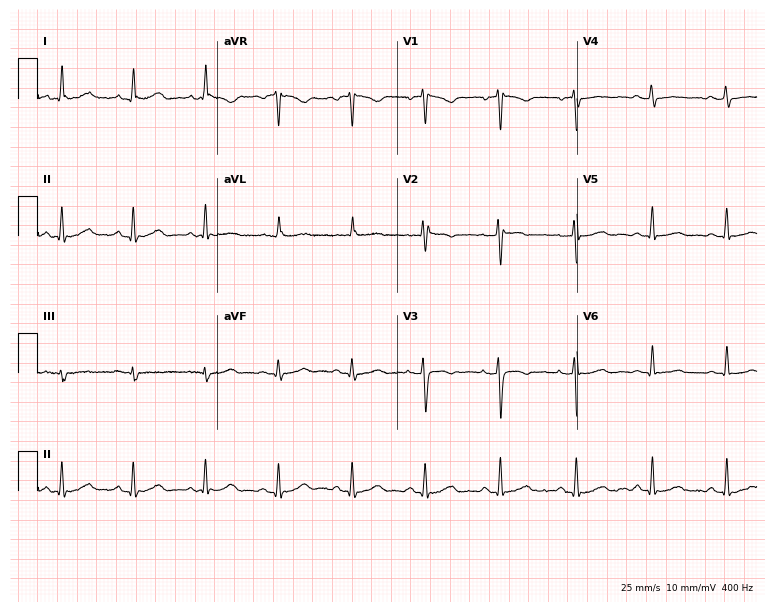
Standard 12-lead ECG recorded from a female patient, 35 years old. Read as a normal ECG.